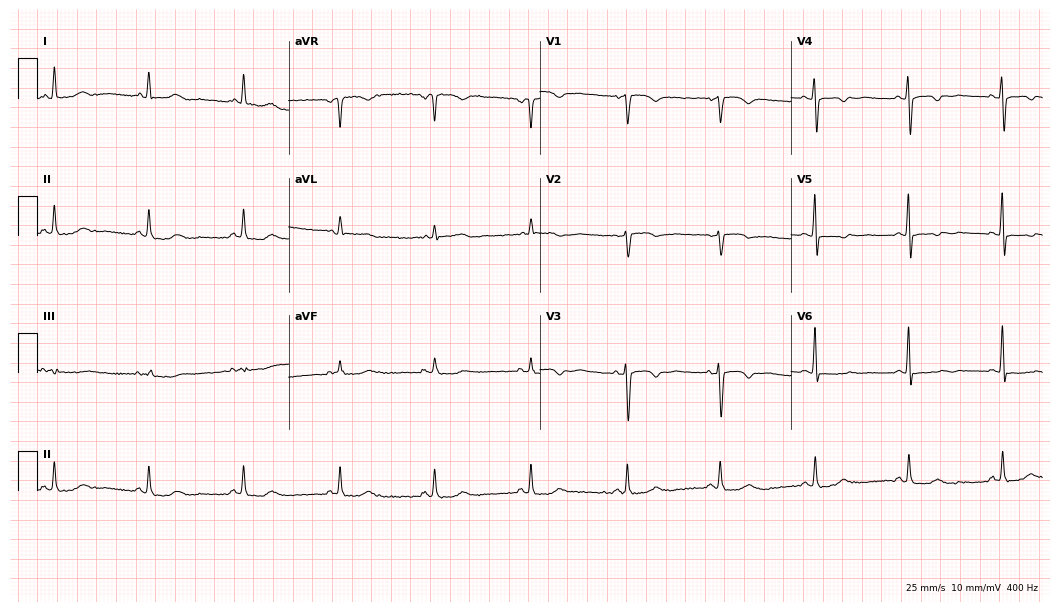
12-lead ECG from a 57-year-old woman. Screened for six findings — first-degree AV block, right bundle branch block, left bundle branch block, sinus bradycardia, atrial fibrillation, sinus tachycardia — none is recorded.